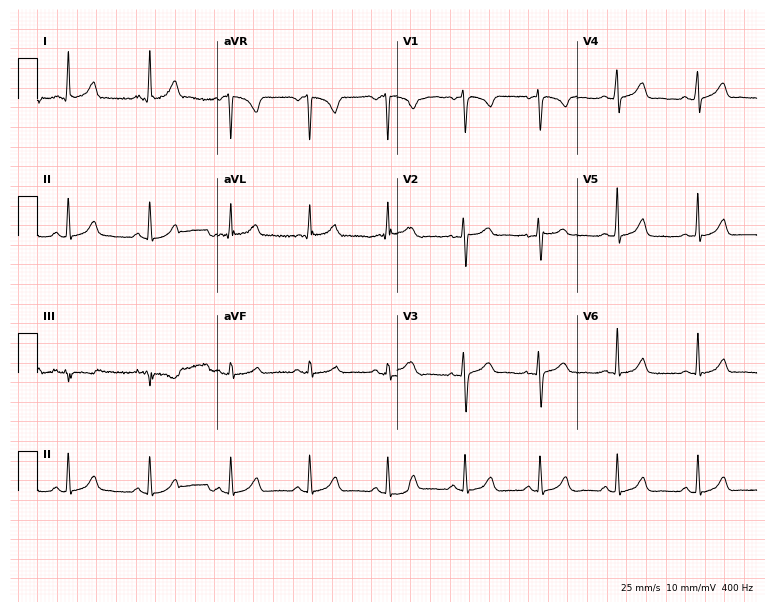
Standard 12-lead ECG recorded from a female patient, 33 years old (7.3-second recording at 400 Hz). Read as a normal ECG.